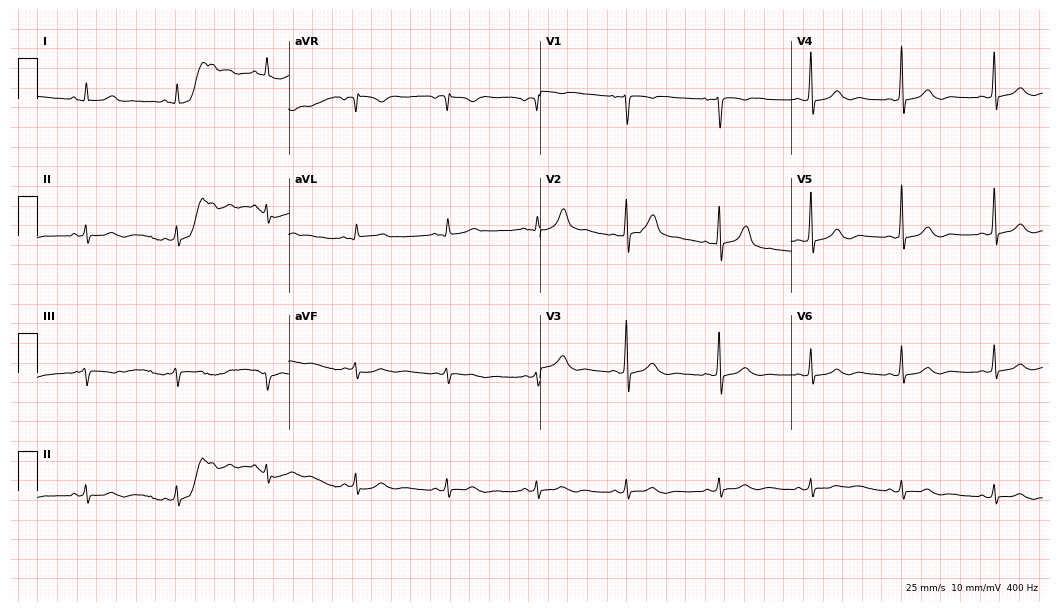
12-lead ECG from a 56-year-old woman. Screened for six findings — first-degree AV block, right bundle branch block, left bundle branch block, sinus bradycardia, atrial fibrillation, sinus tachycardia — none is recorded. Other findings, if any, are not listed.